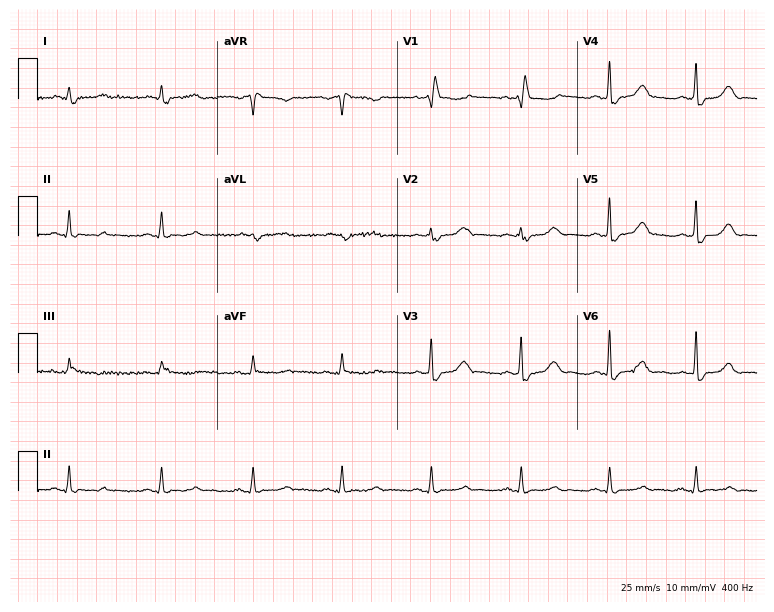
Electrocardiogram (7.3-second recording at 400 Hz), a male, 81 years old. Interpretation includes right bundle branch block.